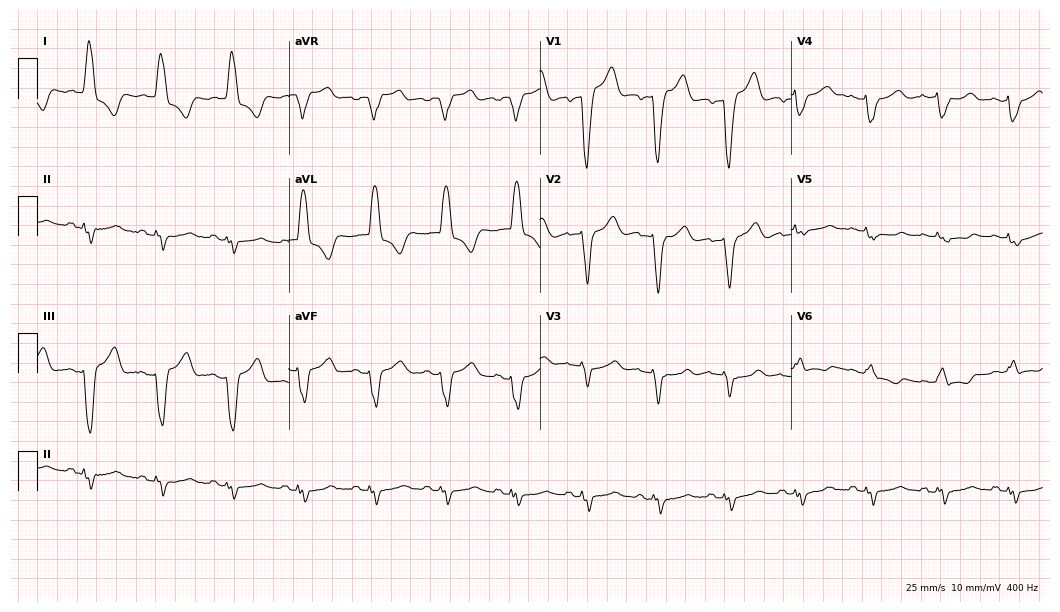
12-lead ECG (10.2-second recording at 400 Hz) from a female patient, 78 years old. Findings include left bundle branch block.